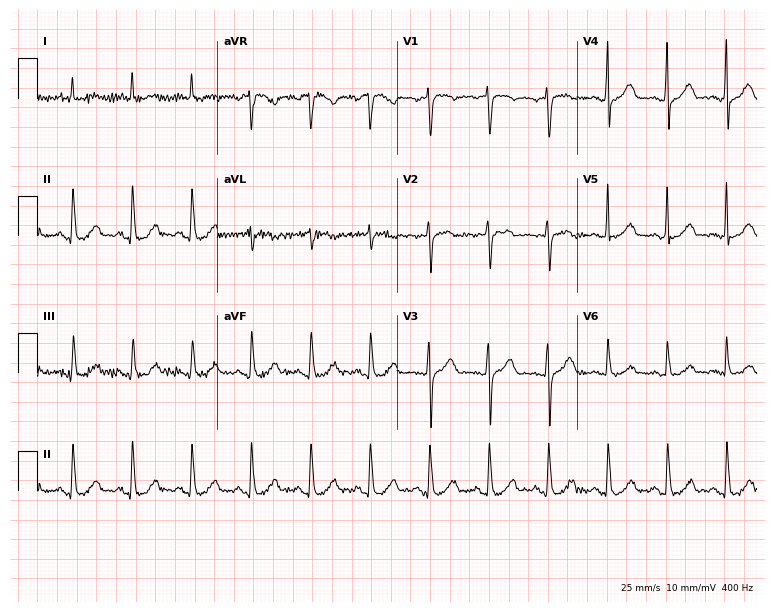
Resting 12-lead electrocardiogram (7.3-second recording at 400 Hz). Patient: a 57-year-old woman. Read as a normal ECG.